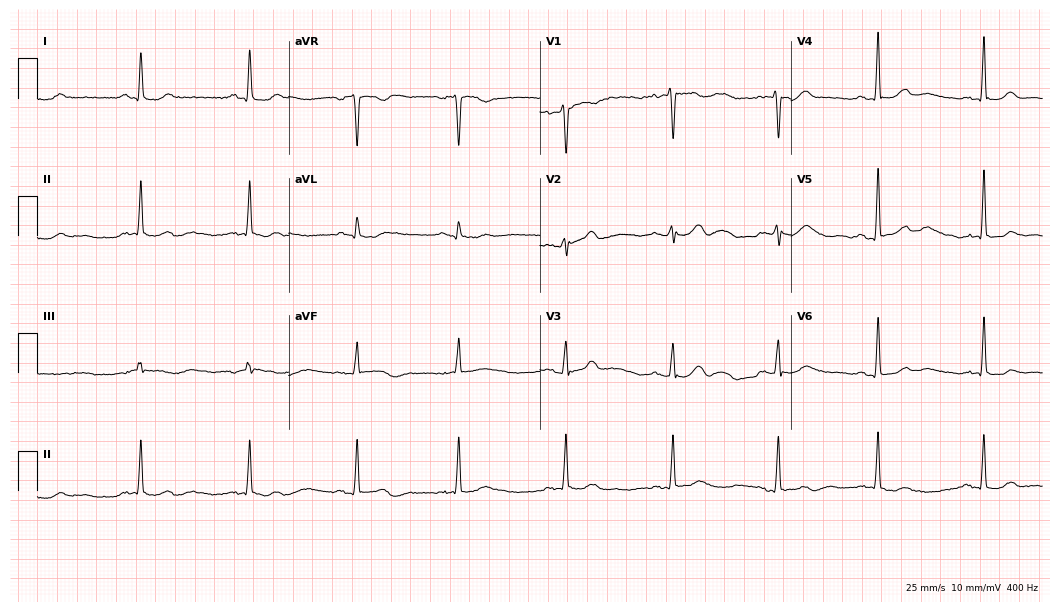
Electrocardiogram (10.2-second recording at 400 Hz), a 56-year-old female patient. Of the six screened findings (first-degree AV block, right bundle branch block, left bundle branch block, sinus bradycardia, atrial fibrillation, sinus tachycardia), none is recorded. Only these six findings were labelled.